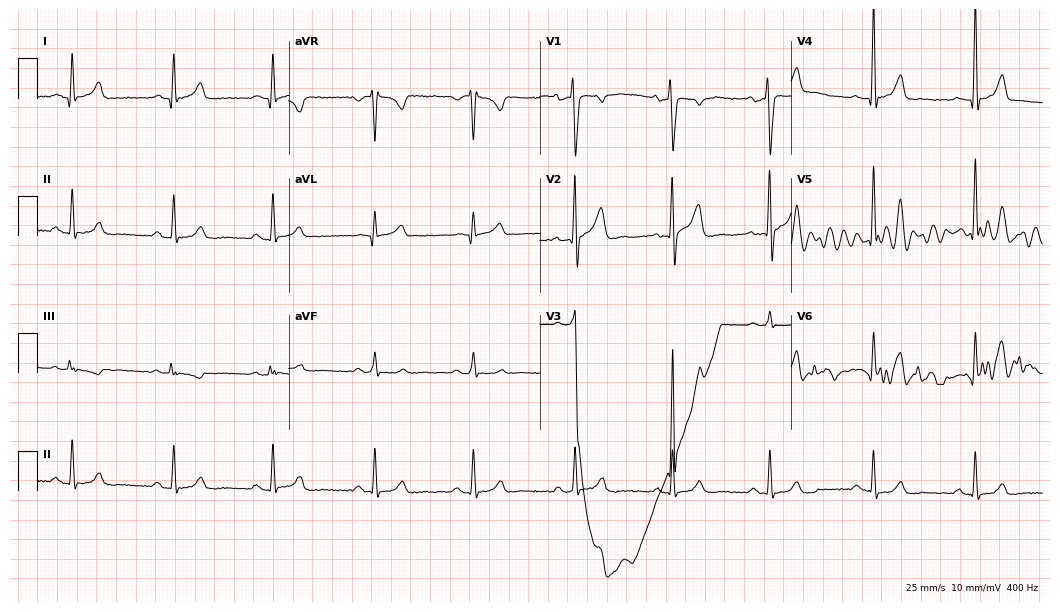
ECG — a 36-year-old male. Labelled as a normal ECG.